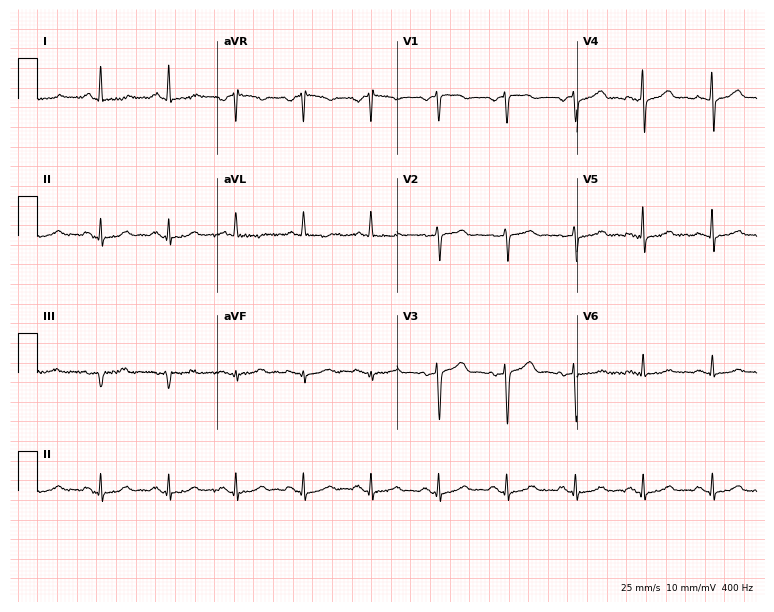
12-lead ECG from a woman, 71 years old. Recorded interpretation: within normal limits.